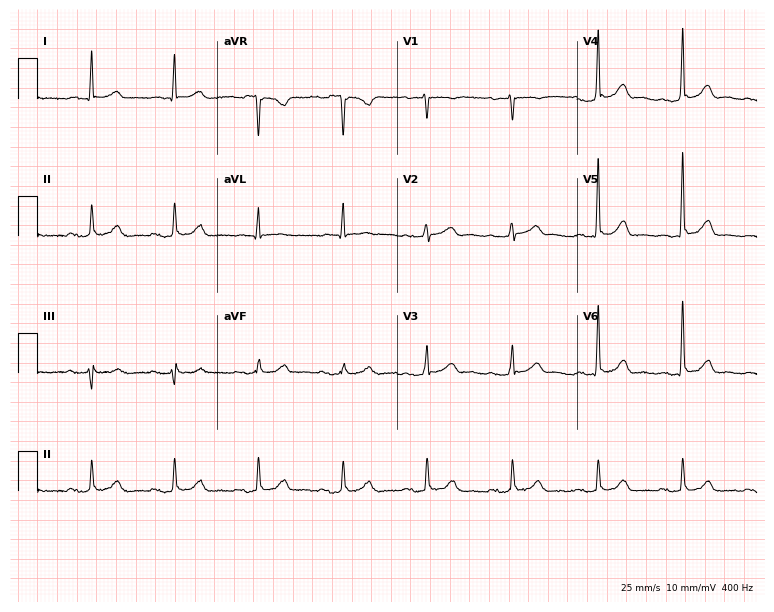
12-lead ECG from a male patient, 54 years old. Recorded interpretation: within normal limits.